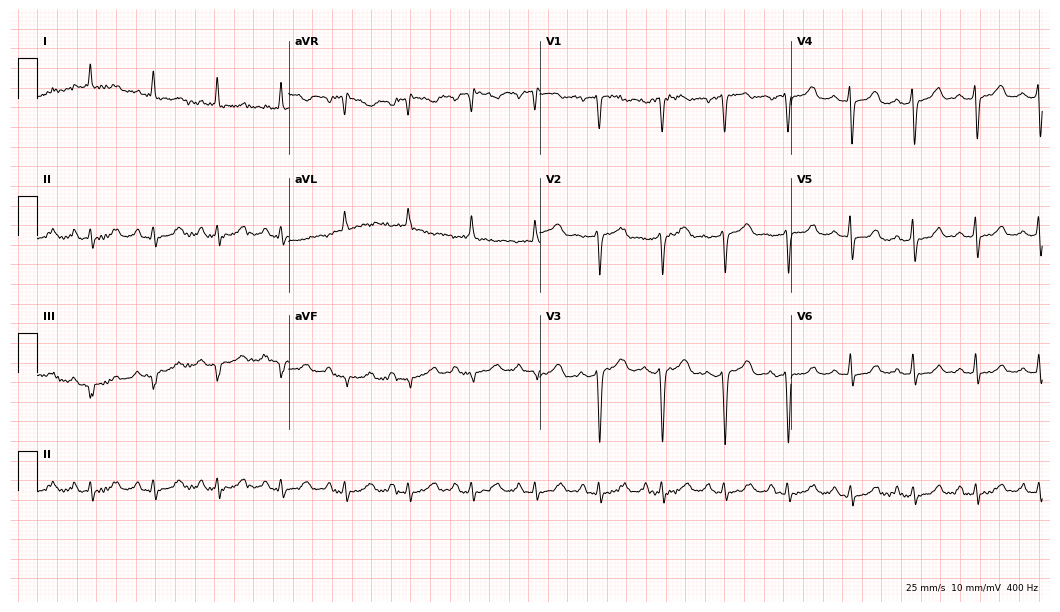
12-lead ECG from a woman, 49 years old. Recorded interpretation: within normal limits.